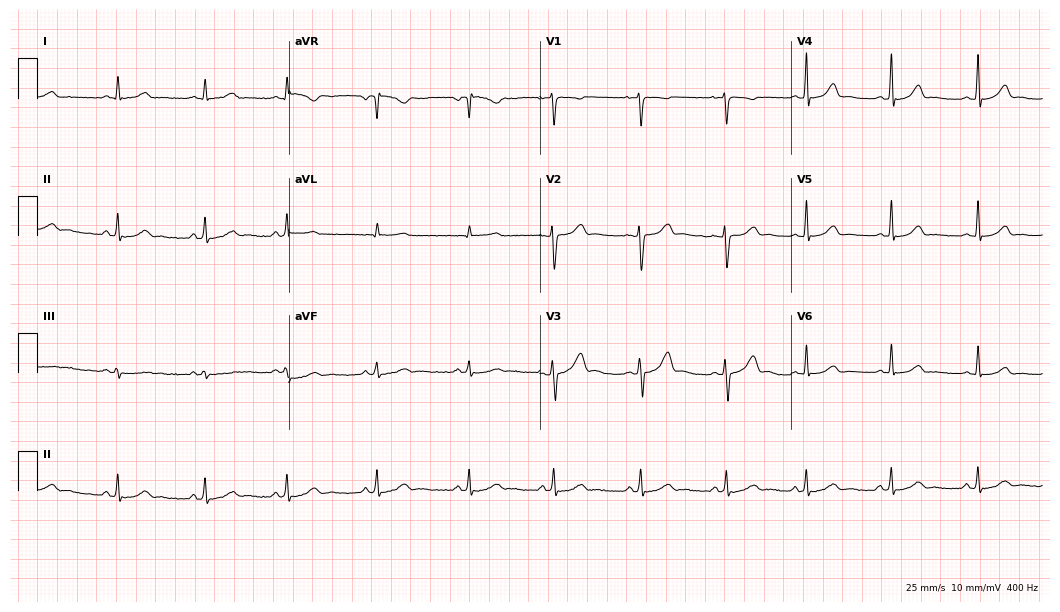
Standard 12-lead ECG recorded from a 20-year-old female patient (10.2-second recording at 400 Hz). Read as a normal ECG.